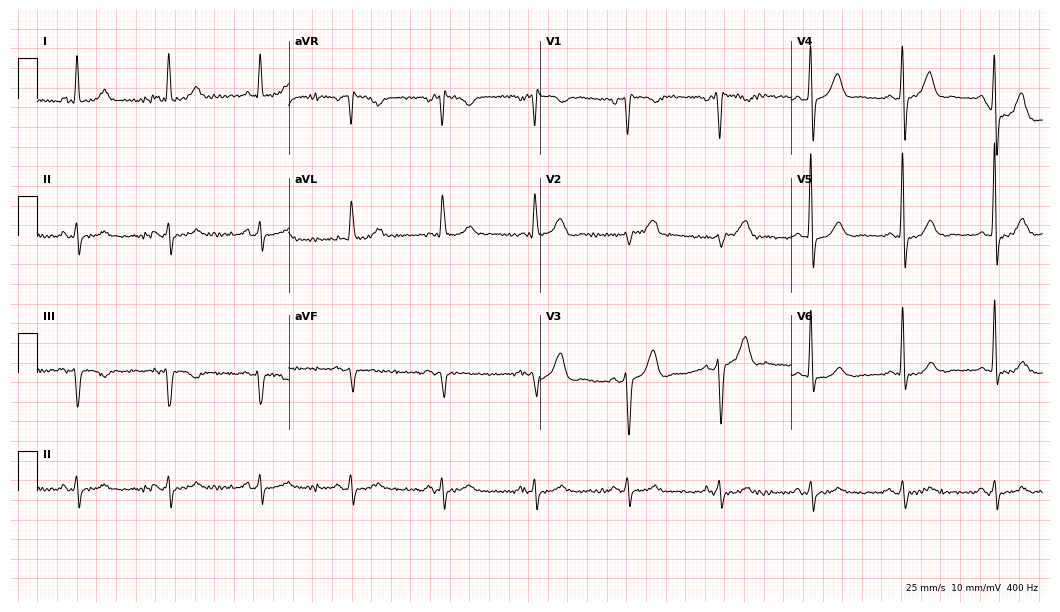
Standard 12-lead ECG recorded from a male, 80 years old (10.2-second recording at 400 Hz). None of these six findings is recorded: first-degree AV block, right bundle branch block, left bundle branch block, sinus bradycardia, atrial fibrillation, sinus tachycardia.